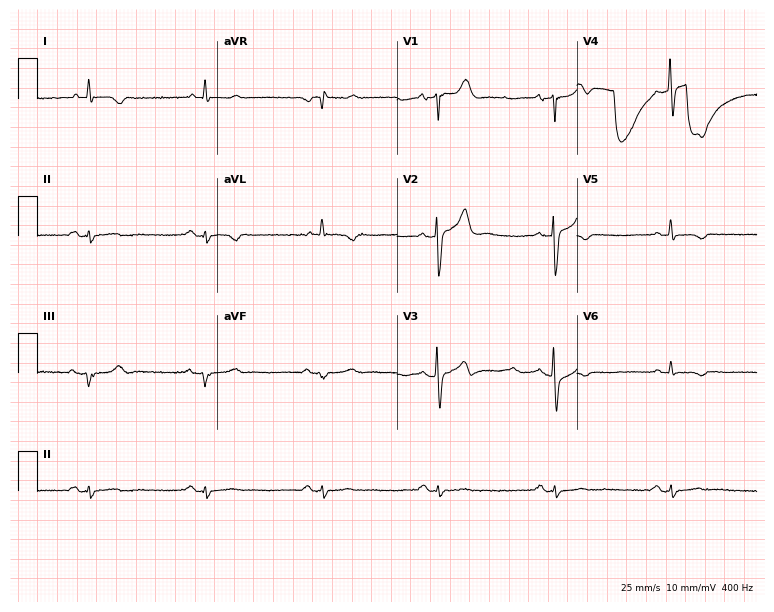
12-lead ECG from a 74-year-old male. No first-degree AV block, right bundle branch block (RBBB), left bundle branch block (LBBB), sinus bradycardia, atrial fibrillation (AF) or sinus tachycardia recorded for this tracing. Other findings, if any, are not listed.